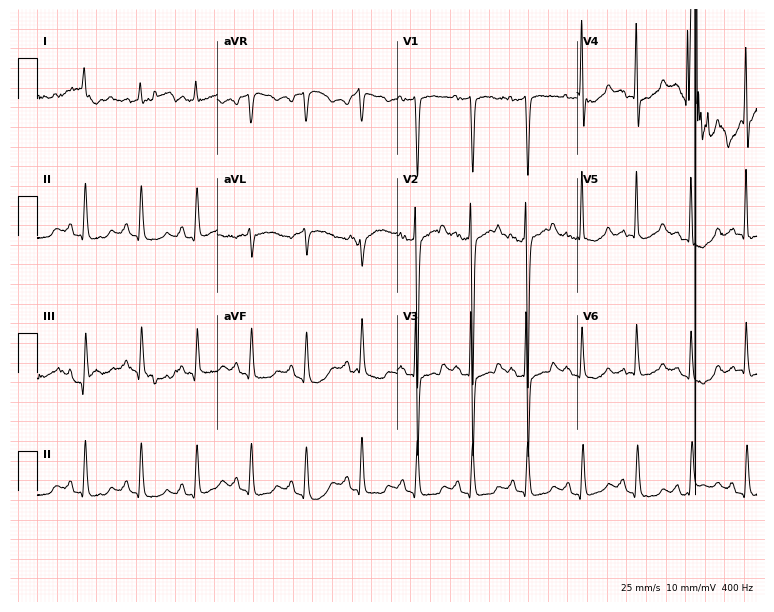
12-lead ECG from a male patient, 64 years old. Findings include sinus tachycardia (a sinus rate of 100 beats per minute or more).